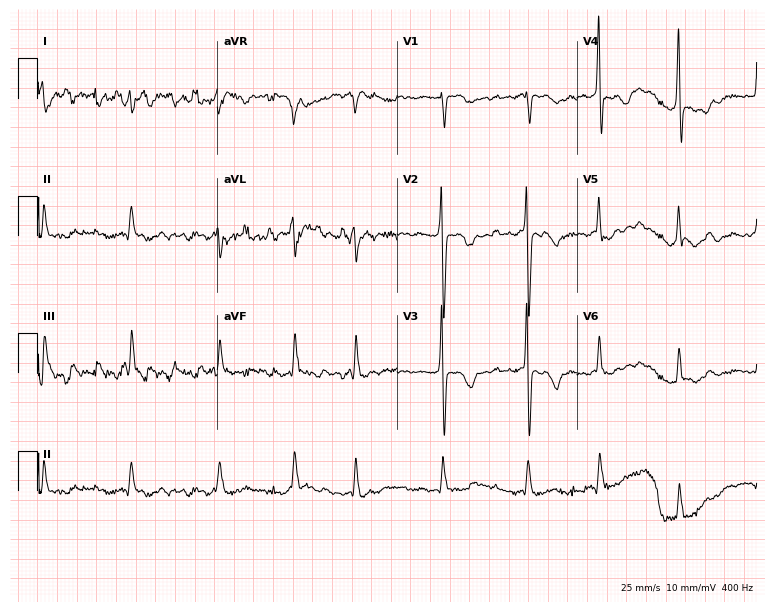
Resting 12-lead electrocardiogram. Patient: an 81-year-old female. None of these six findings is recorded: first-degree AV block, right bundle branch block, left bundle branch block, sinus bradycardia, atrial fibrillation, sinus tachycardia.